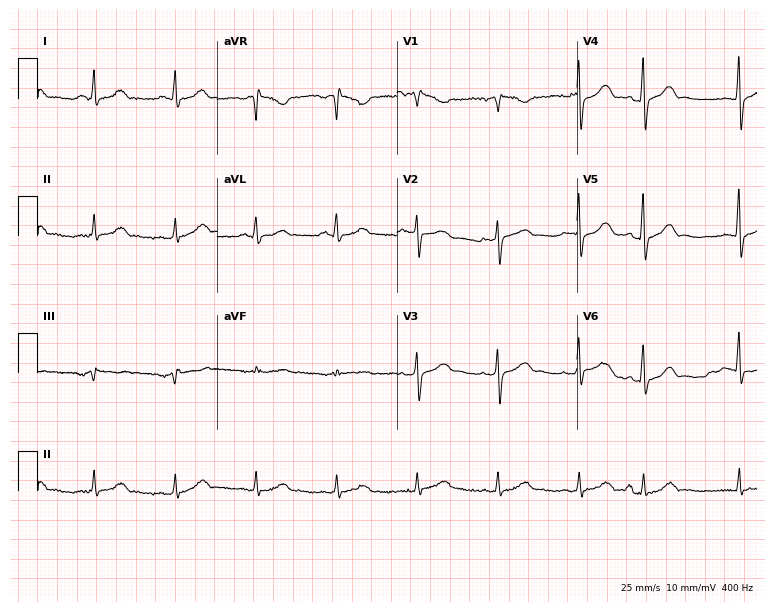
ECG (7.3-second recording at 400 Hz) — a female patient, 66 years old. Screened for six findings — first-degree AV block, right bundle branch block (RBBB), left bundle branch block (LBBB), sinus bradycardia, atrial fibrillation (AF), sinus tachycardia — none is recorded.